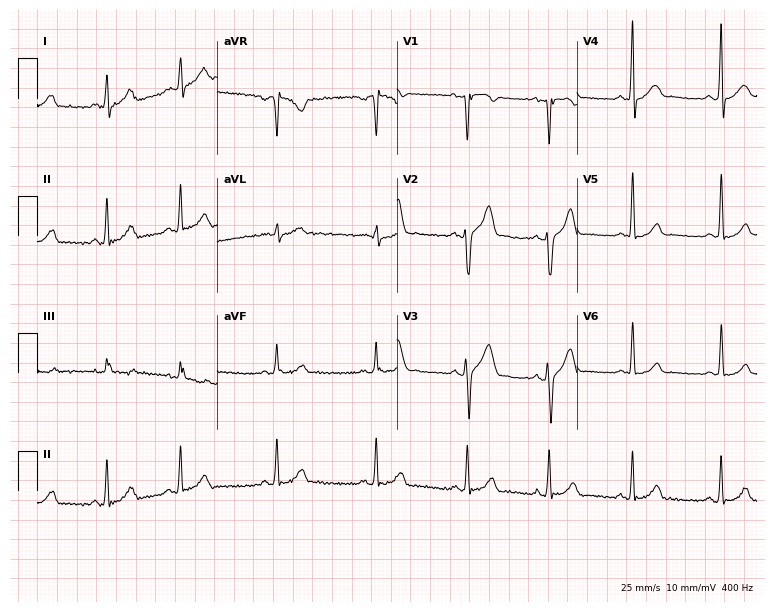
Resting 12-lead electrocardiogram. Patient: a 17-year-old man. None of these six findings is recorded: first-degree AV block, right bundle branch block, left bundle branch block, sinus bradycardia, atrial fibrillation, sinus tachycardia.